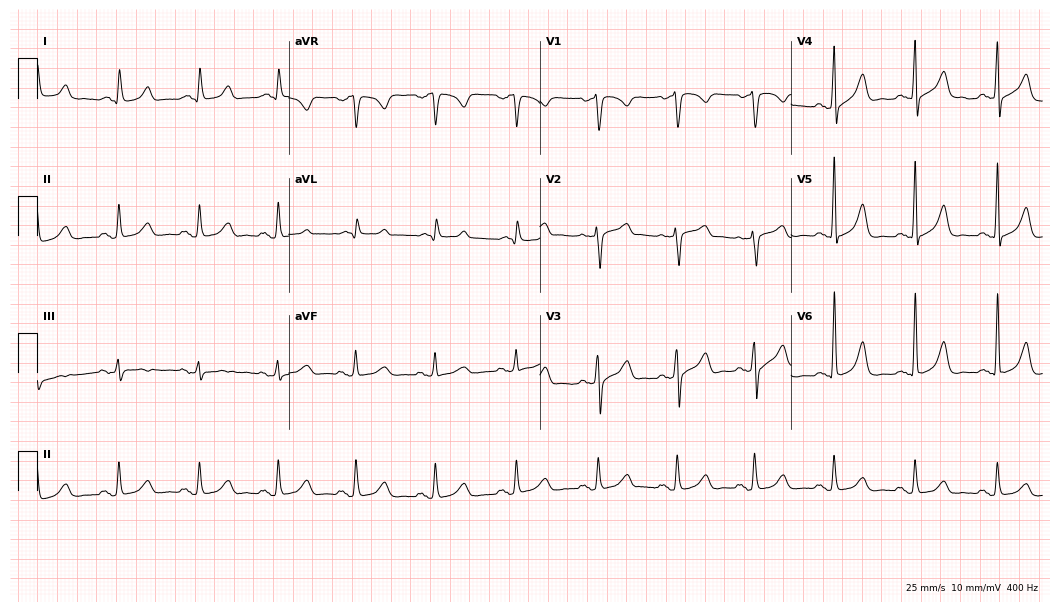
12-lead ECG from a 57-year-old male (10.2-second recording at 400 Hz). Recorded interpretation: within normal limits.